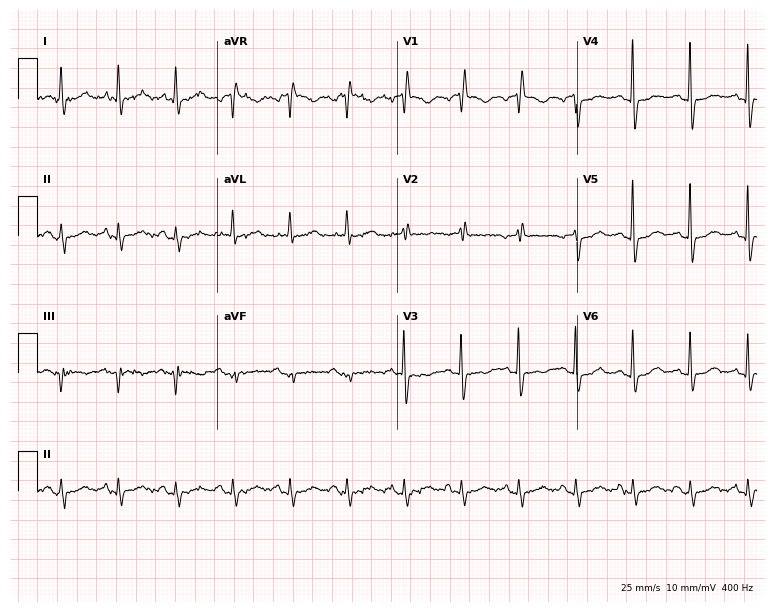
ECG (7.3-second recording at 400 Hz) — a female, 81 years old. Findings include sinus tachycardia (a sinus rate of 100 beats per minute or more).